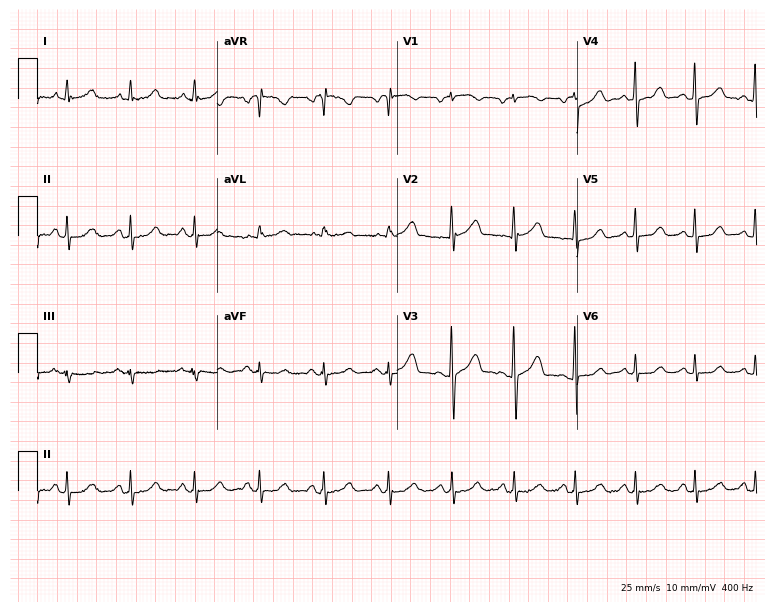
ECG — a 49-year-old female patient. Labelled as a normal ECG.